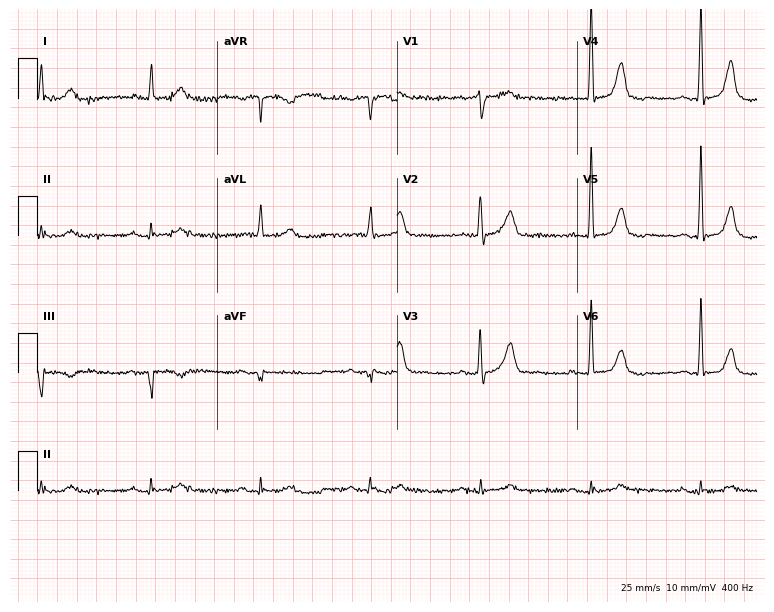
ECG — a male, 79 years old. Findings include first-degree AV block.